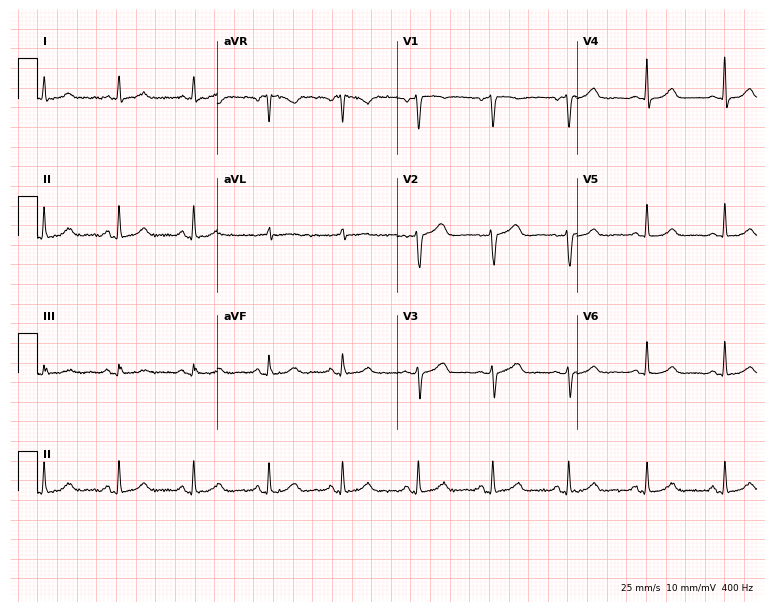
12-lead ECG from a female, 51 years old. Labelled as a normal ECG.